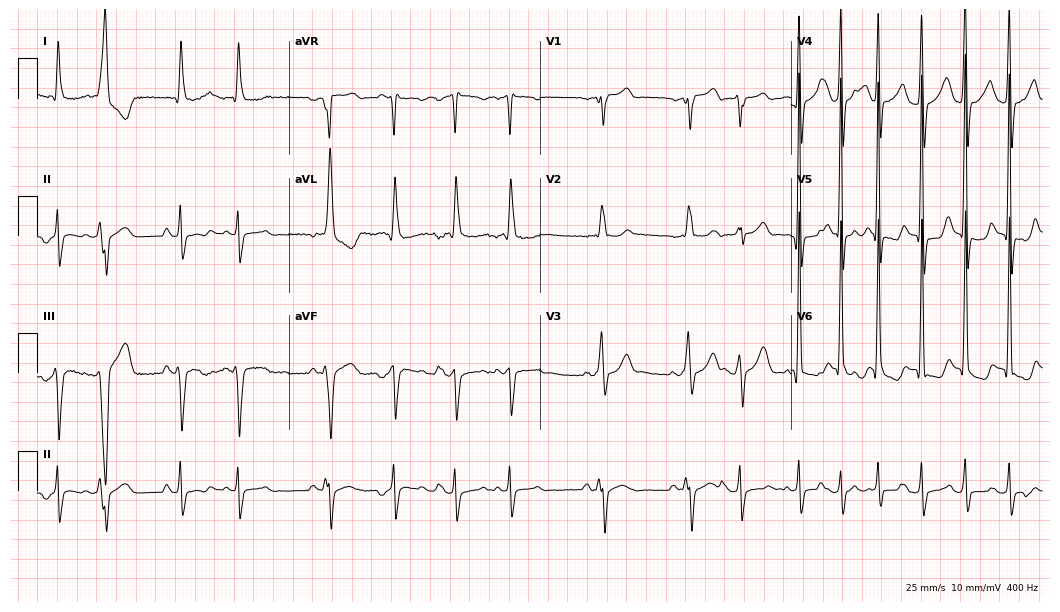
ECG — a male, 63 years old. Screened for six findings — first-degree AV block, right bundle branch block (RBBB), left bundle branch block (LBBB), sinus bradycardia, atrial fibrillation (AF), sinus tachycardia — none is recorded.